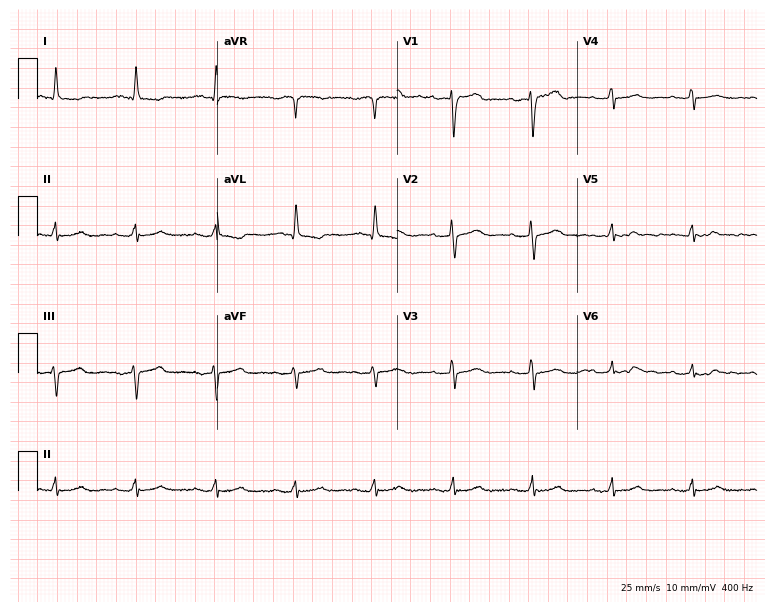
Standard 12-lead ECG recorded from a 64-year-old woman (7.3-second recording at 400 Hz). None of these six findings is recorded: first-degree AV block, right bundle branch block (RBBB), left bundle branch block (LBBB), sinus bradycardia, atrial fibrillation (AF), sinus tachycardia. Findings outside these six are not listed.